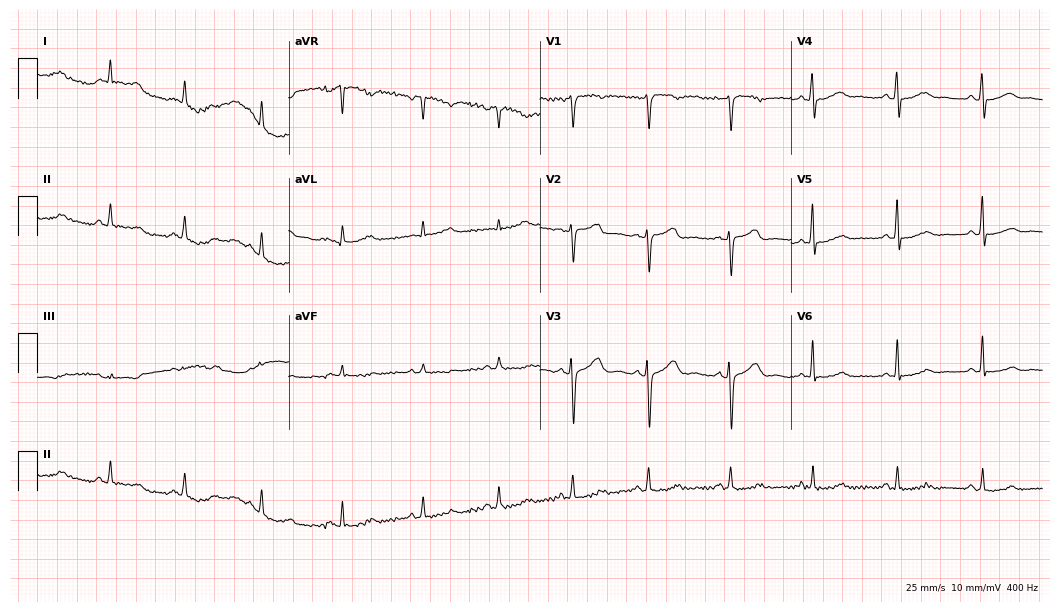
Resting 12-lead electrocardiogram. Patient: a 44-year-old female. Read as a normal ECG.